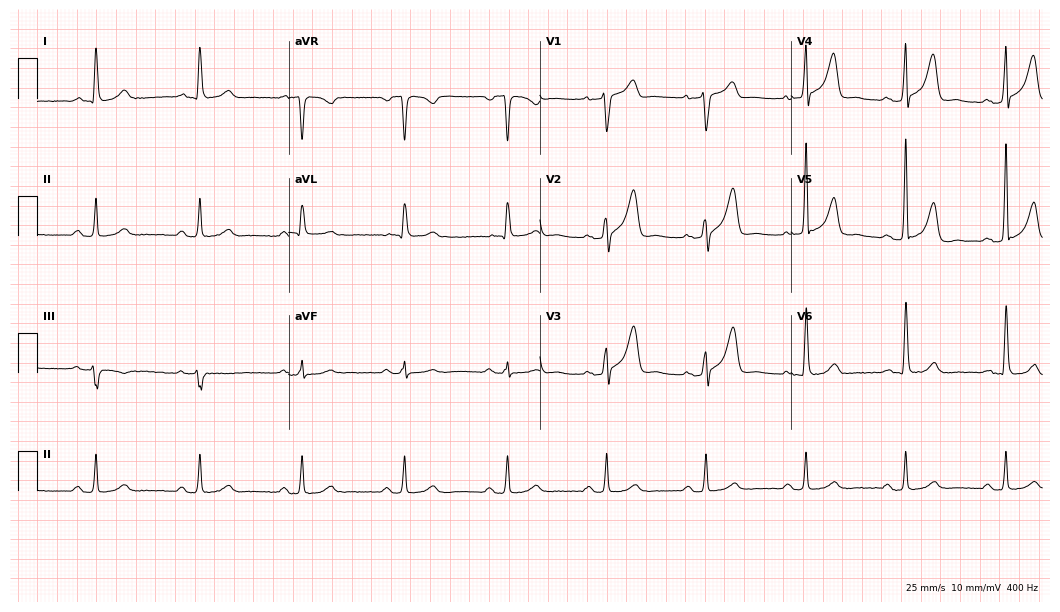
Resting 12-lead electrocardiogram. Patient: a 62-year-old male. None of these six findings is recorded: first-degree AV block, right bundle branch block, left bundle branch block, sinus bradycardia, atrial fibrillation, sinus tachycardia.